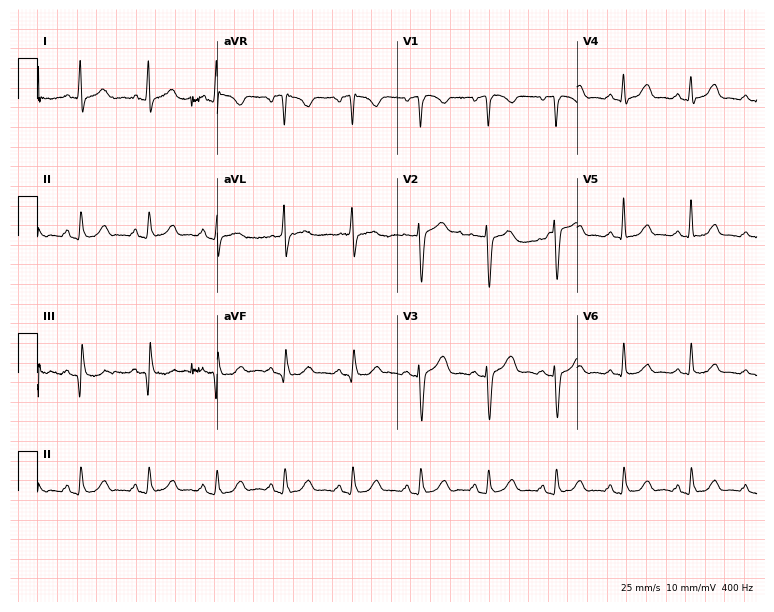
Standard 12-lead ECG recorded from a 62-year-old woman. Read as a normal ECG.